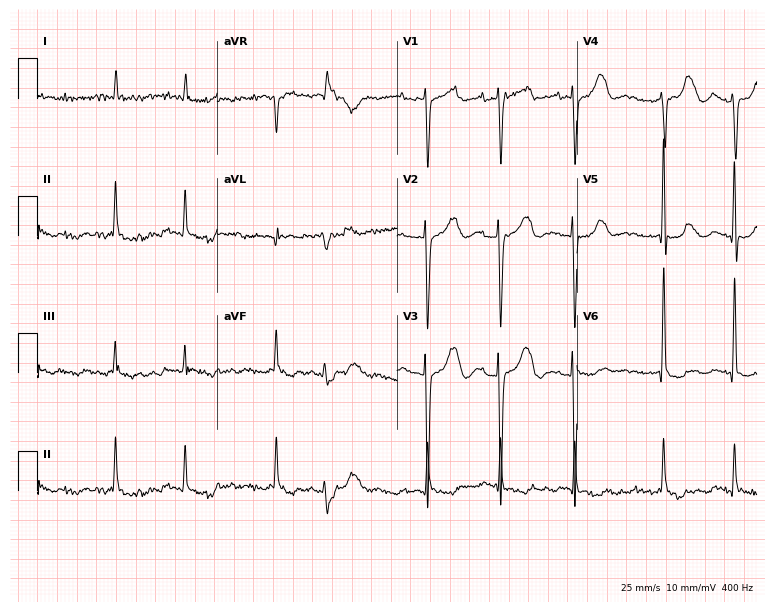
Standard 12-lead ECG recorded from a woman, 73 years old (7.3-second recording at 400 Hz). The tracing shows atrial fibrillation (AF).